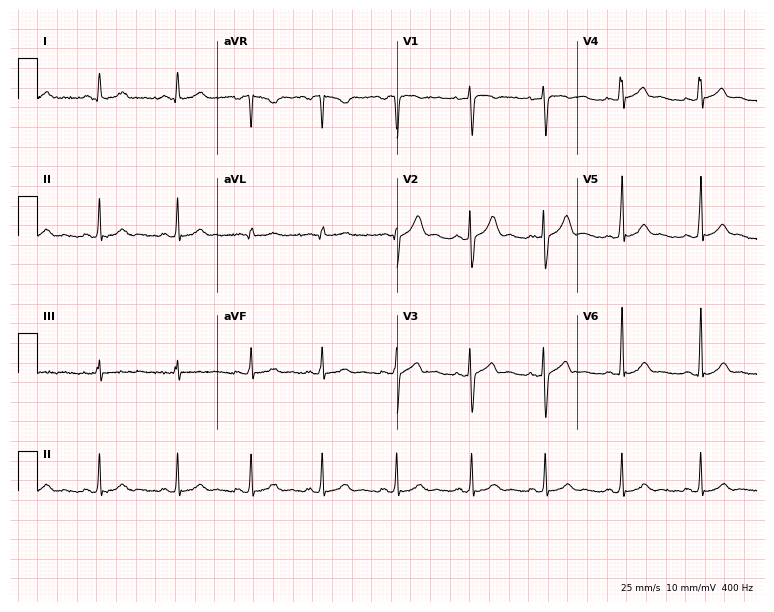
Resting 12-lead electrocardiogram (7.3-second recording at 400 Hz). Patient: a female, 27 years old. Read as a normal ECG.